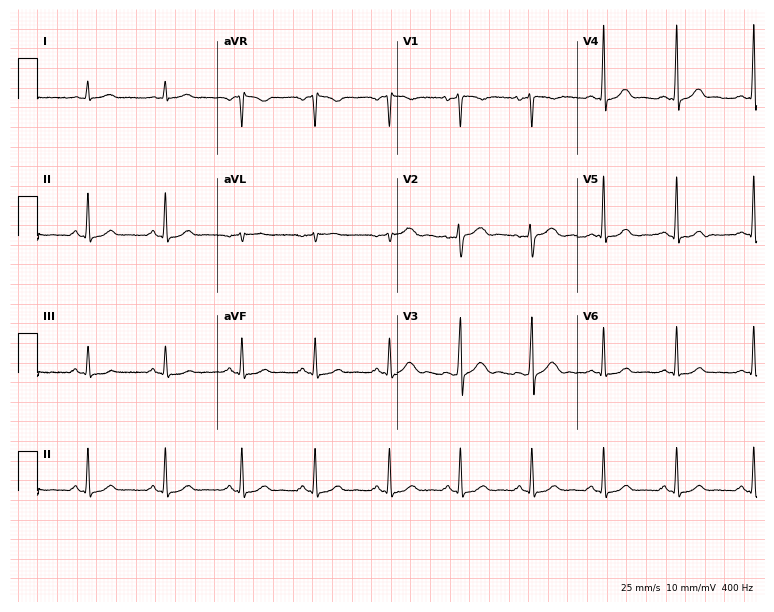
Electrocardiogram (7.3-second recording at 400 Hz), a 27-year-old woman. Overall reading on record: normal ECG.